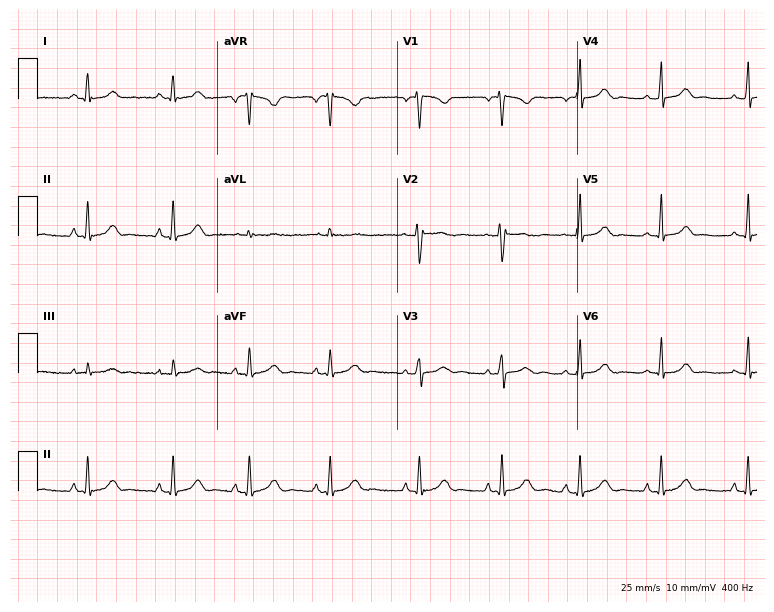
Standard 12-lead ECG recorded from a female, 19 years old (7.3-second recording at 400 Hz). Read as a normal ECG.